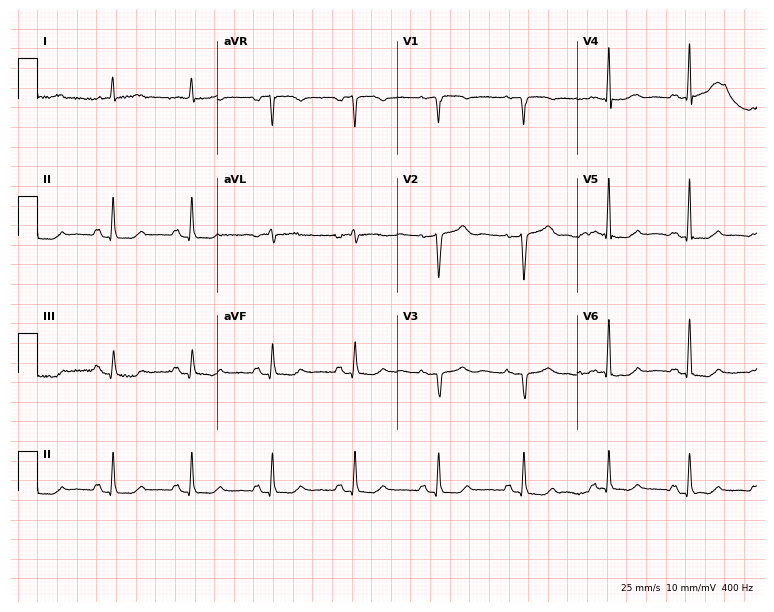
ECG (7.3-second recording at 400 Hz) — a 54-year-old female patient. Screened for six findings — first-degree AV block, right bundle branch block (RBBB), left bundle branch block (LBBB), sinus bradycardia, atrial fibrillation (AF), sinus tachycardia — none is recorded.